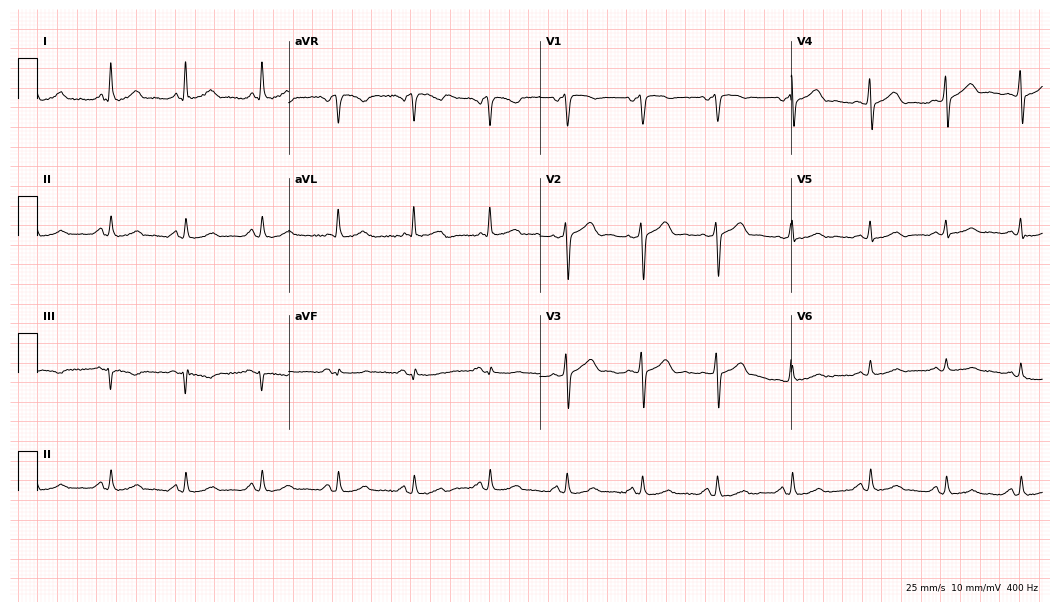
Resting 12-lead electrocardiogram (10.2-second recording at 400 Hz). Patient: a 62-year-old female. Read as a normal ECG.